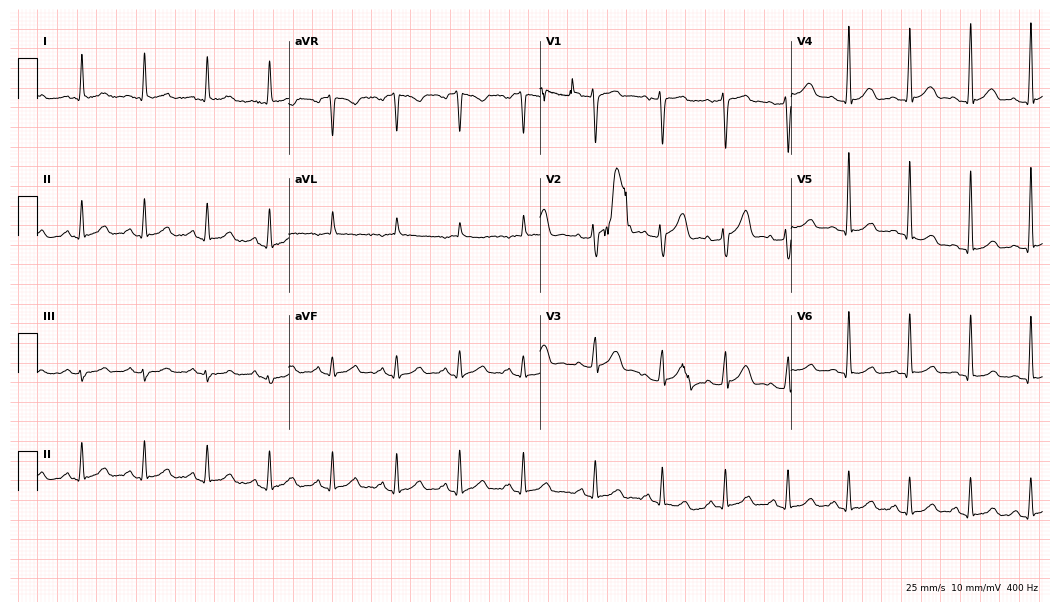
12-lead ECG from a 43-year-old man. Labelled as a normal ECG.